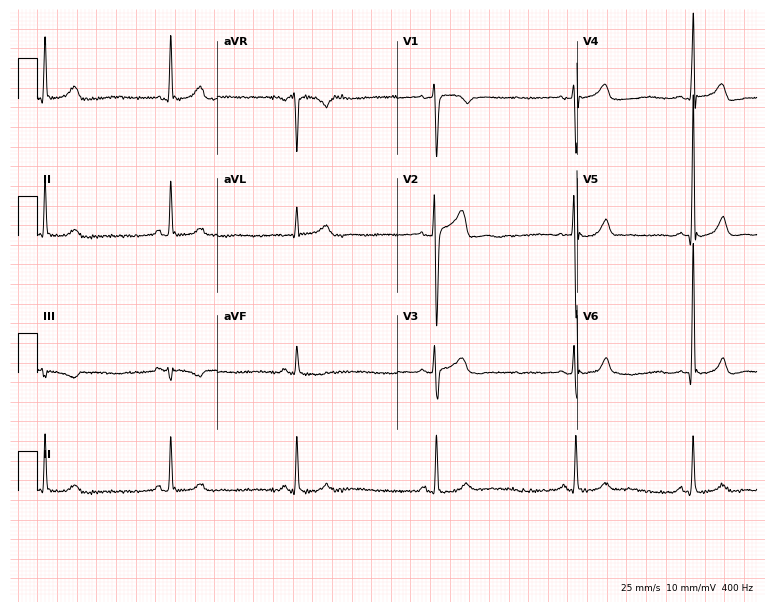
12-lead ECG from a male, 31 years old. Screened for six findings — first-degree AV block, right bundle branch block, left bundle branch block, sinus bradycardia, atrial fibrillation, sinus tachycardia — none is recorded.